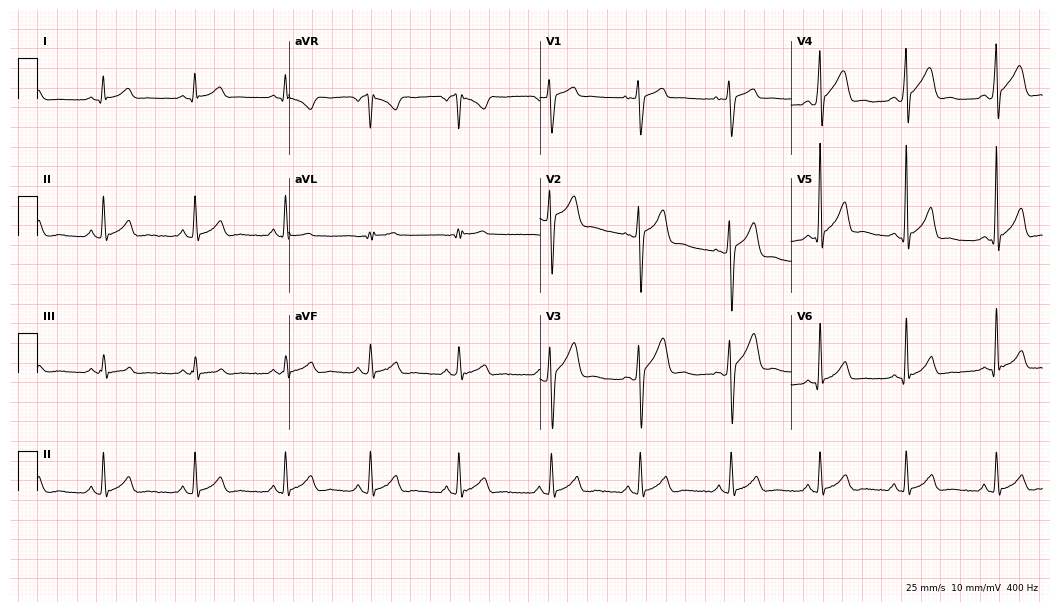
Resting 12-lead electrocardiogram. Patient: a 22-year-old male. Read as a normal ECG.